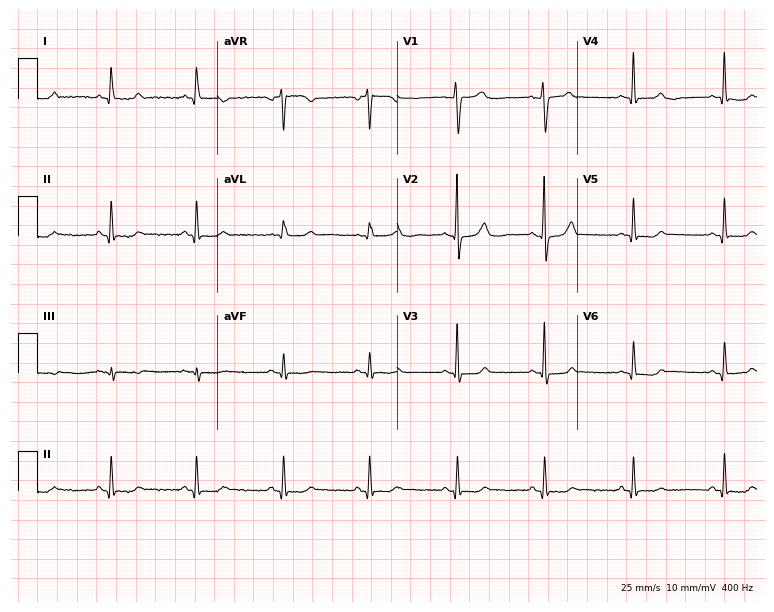
12-lead ECG from a female patient, 64 years old. Recorded interpretation: within normal limits.